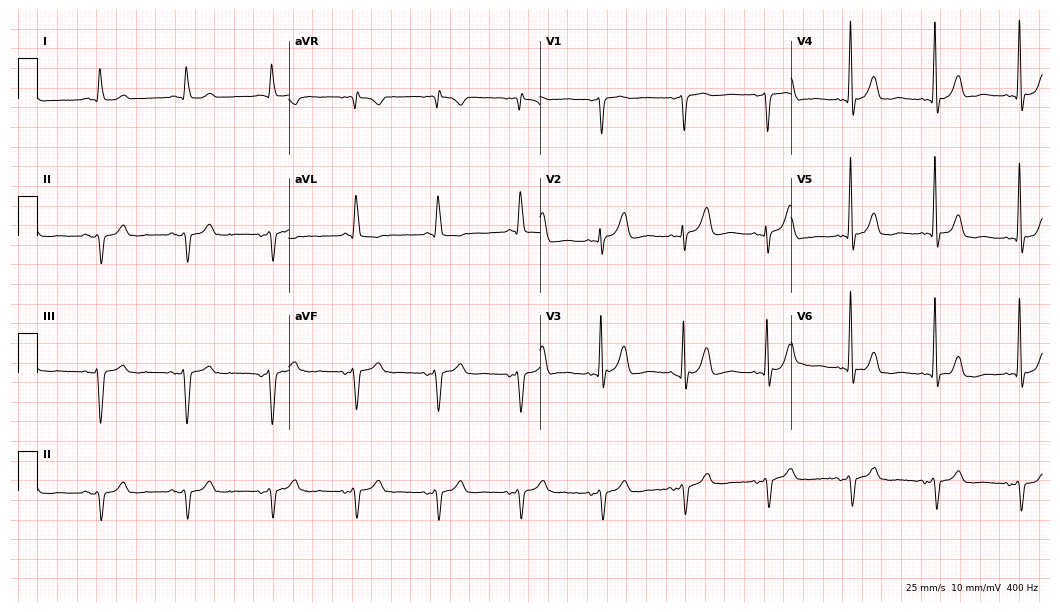
Electrocardiogram (10.2-second recording at 400 Hz), an 81-year-old male patient. Of the six screened findings (first-degree AV block, right bundle branch block, left bundle branch block, sinus bradycardia, atrial fibrillation, sinus tachycardia), none is recorded. Other findings, if any, are not listed.